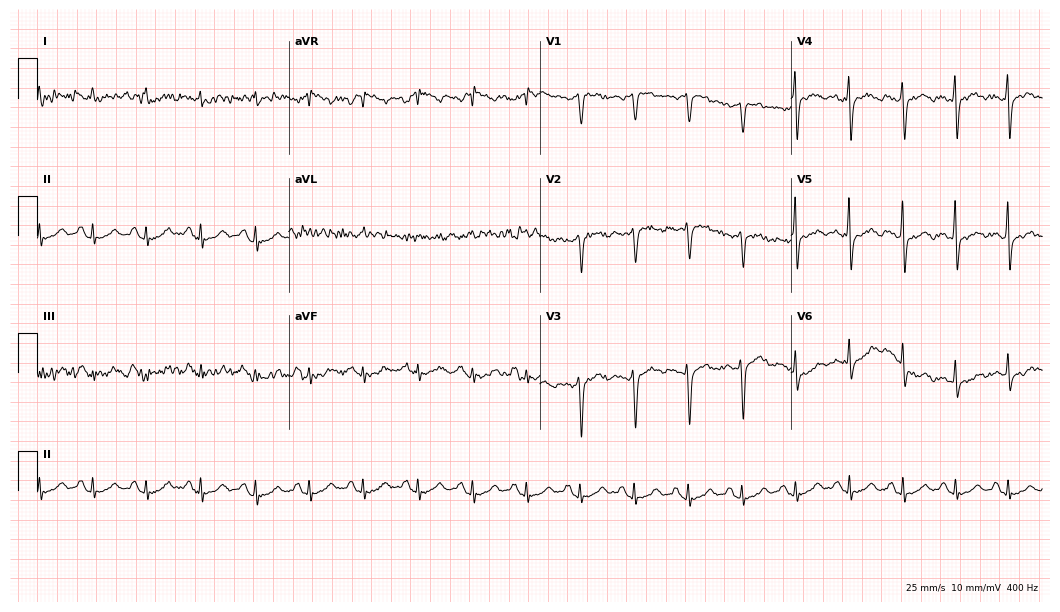
12-lead ECG (10.2-second recording at 400 Hz) from a 61-year-old male. Screened for six findings — first-degree AV block, right bundle branch block (RBBB), left bundle branch block (LBBB), sinus bradycardia, atrial fibrillation (AF), sinus tachycardia — none is recorded.